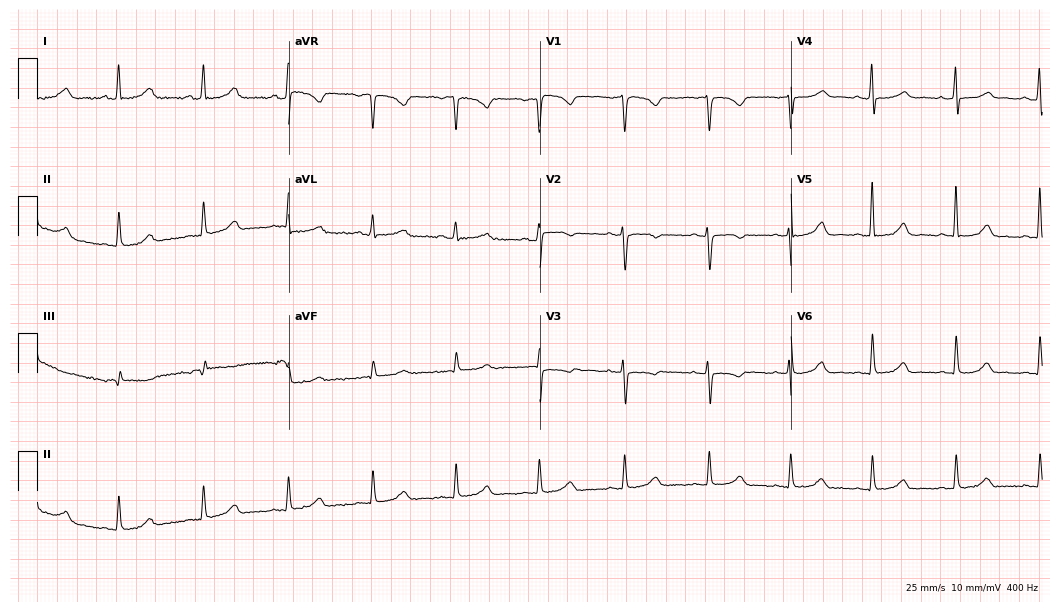
Resting 12-lead electrocardiogram (10.2-second recording at 400 Hz). Patient: a female, 46 years old. Read as a normal ECG.